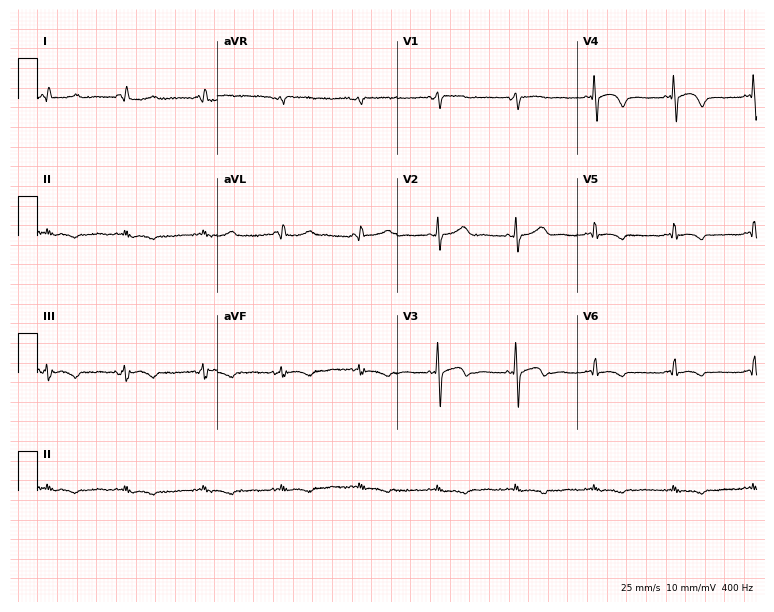
12-lead ECG (7.3-second recording at 400 Hz) from a female patient, 68 years old. Screened for six findings — first-degree AV block, right bundle branch block, left bundle branch block, sinus bradycardia, atrial fibrillation, sinus tachycardia — none is recorded.